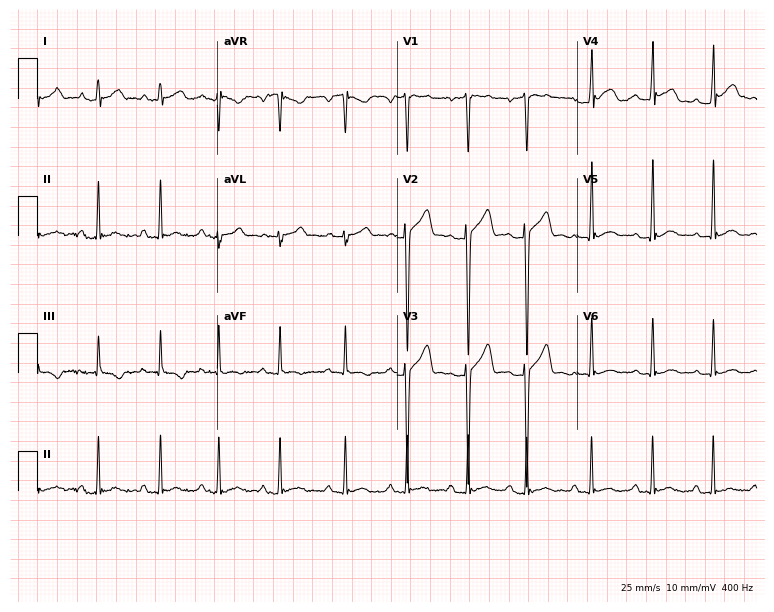
12-lead ECG (7.3-second recording at 400 Hz) from a man, 20 years old. Labelled as a normal ECG.